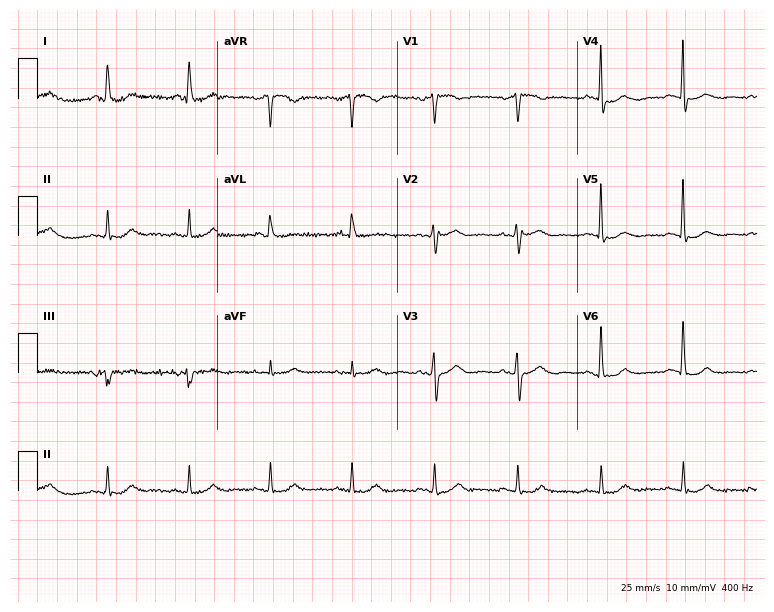
Electrocardiogram (7.3-second recording at 400 Hz), a 75-year-old female. Of the six screened findings (first-degree AV block, right bundle branch block, left bundle branch block, sinus bradycardia, atrial fibrillation, sinus tachycardia), none is recorded.